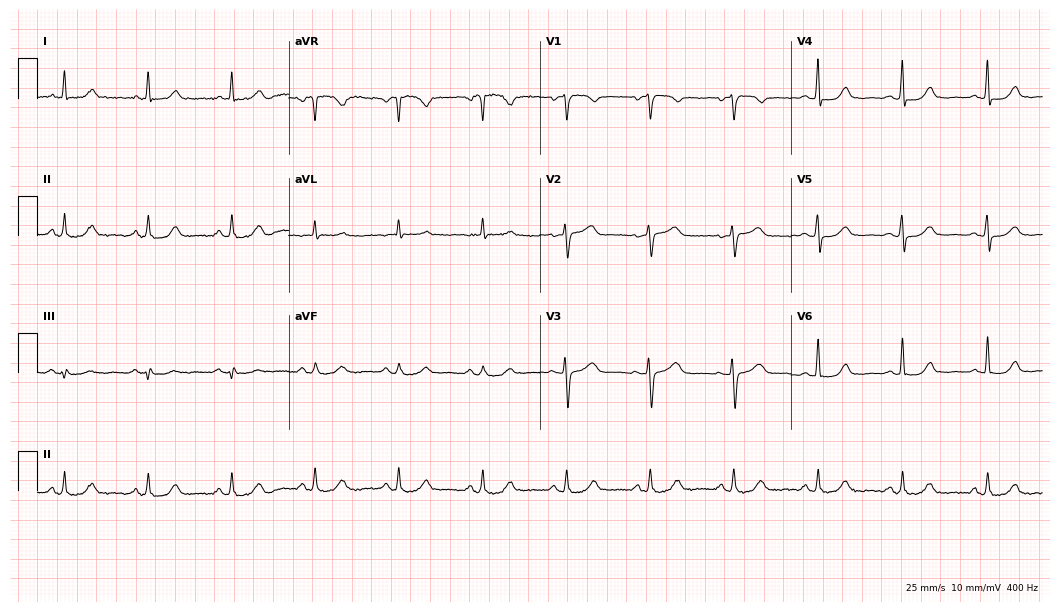
12-lead ECG from a 62-year-old female. Recorded interpretation: within normal limits.